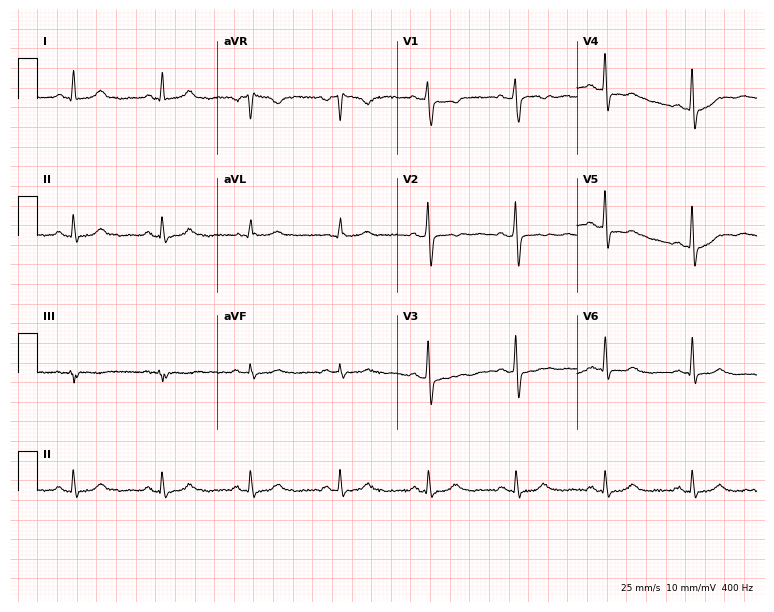
Standard 12-lead ECG recorded from a female patient, 58 years old. Read as a normal ECG.